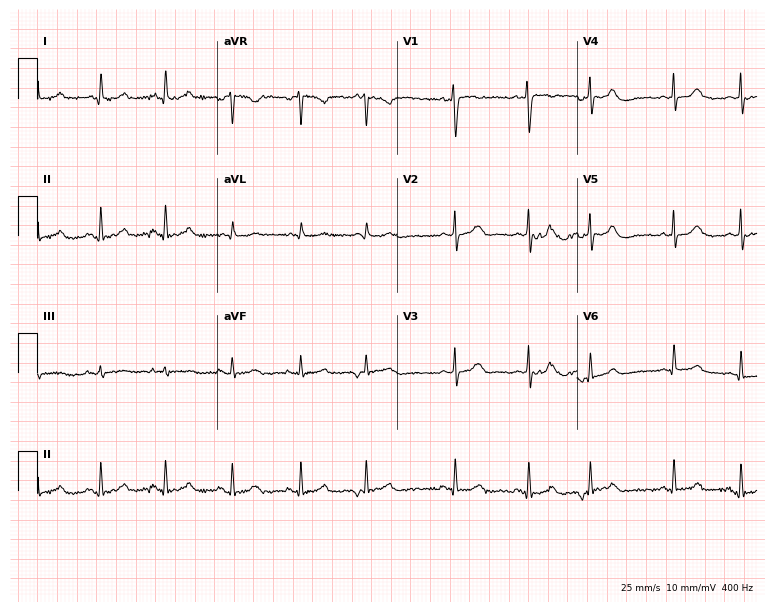
ECG — a female, 23 years old. Screened for six findings — first-degree AV block, right bundle branch block, left bundle branch block, sinus bradycardia, atrial fibrillation, sinus tachycardia — none is recorded.